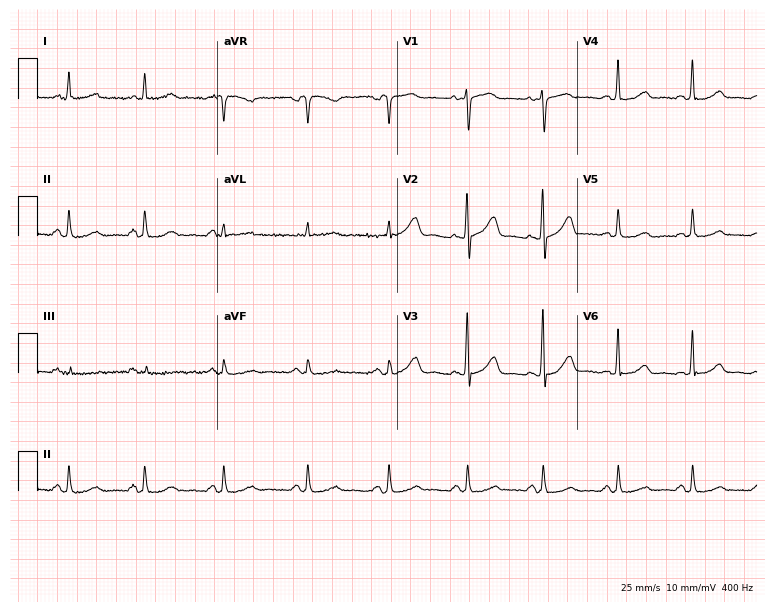
ECG — a 60-year-old woman. Labelled as a normal ECG.